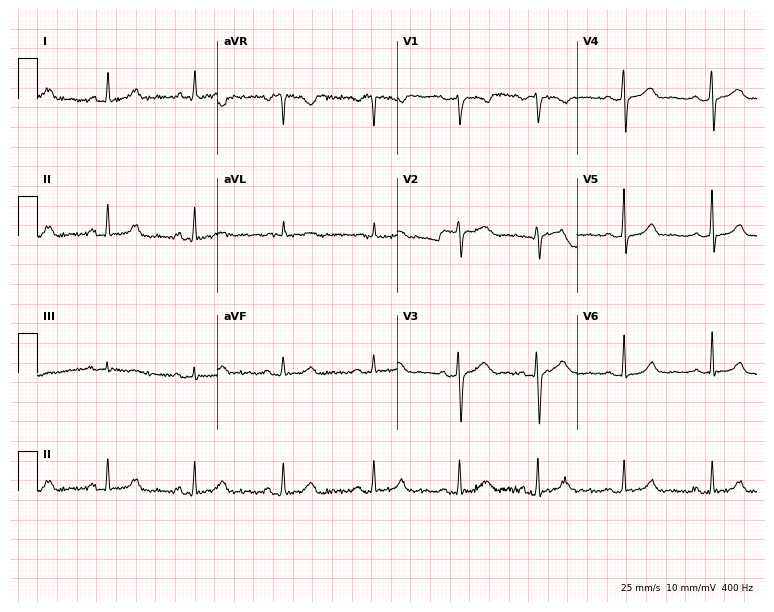
12-lead ECG (7.3-second recording at 400 Hz) from a female, 33 years old. Labelled as a normal ECG.